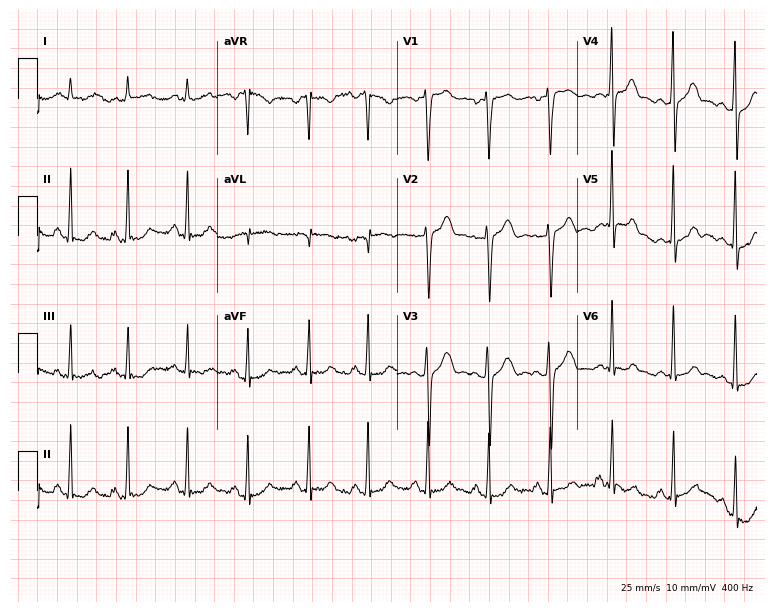
ECG — a 39-year-old female patient. Labelled as a normal ECG.